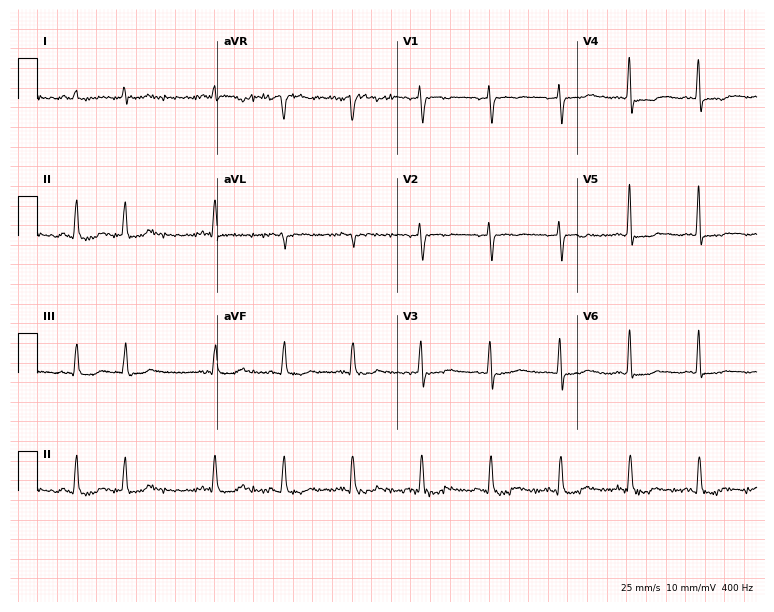
ECG — a female patient, 71 years old. Labelled as a normal ECG.